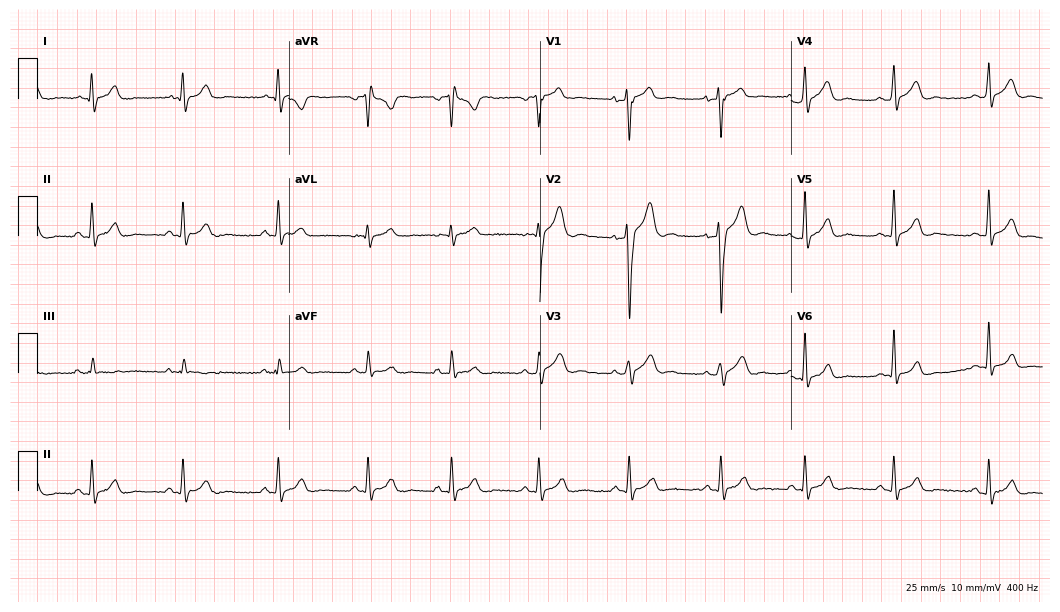
Electrocardiogram (10.2-second recording at 400 Hz), a 25-year-old man. Overall reading on record: normal ECG.